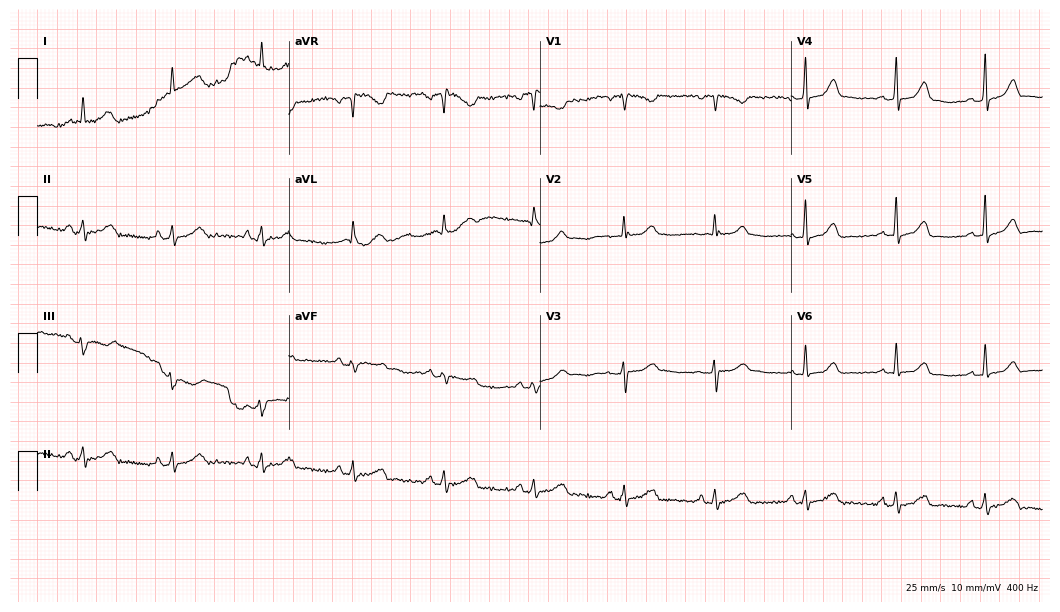
12-lead ECG from a 40-year-old woman. Recorded interpretation: within normal limits.